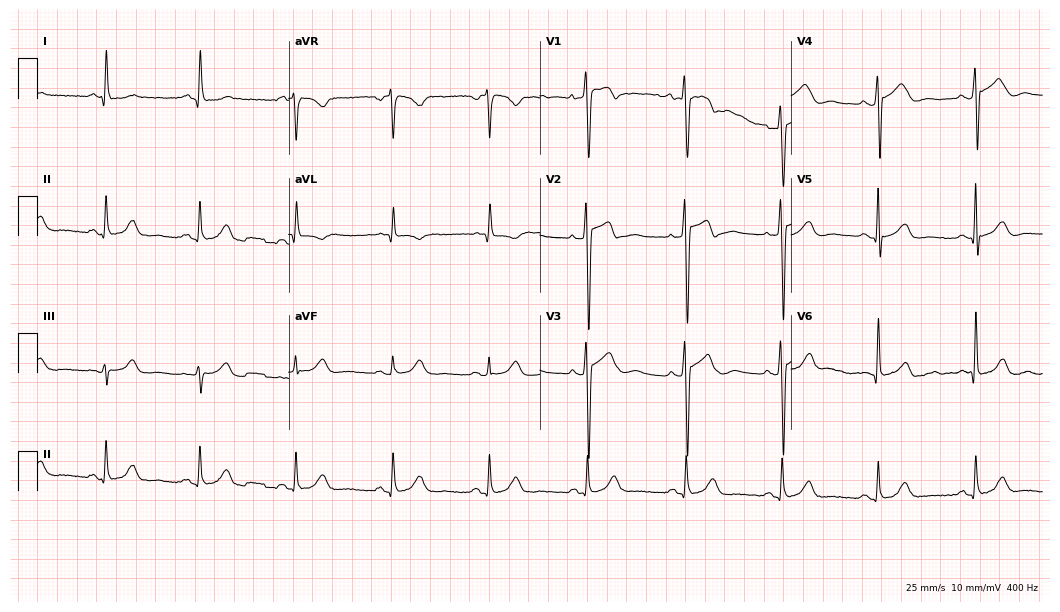
Standard 12-lead ECG recorded from a 72-year-old man (10.2-second recording at 400 Hz). Read as a normal ECG.